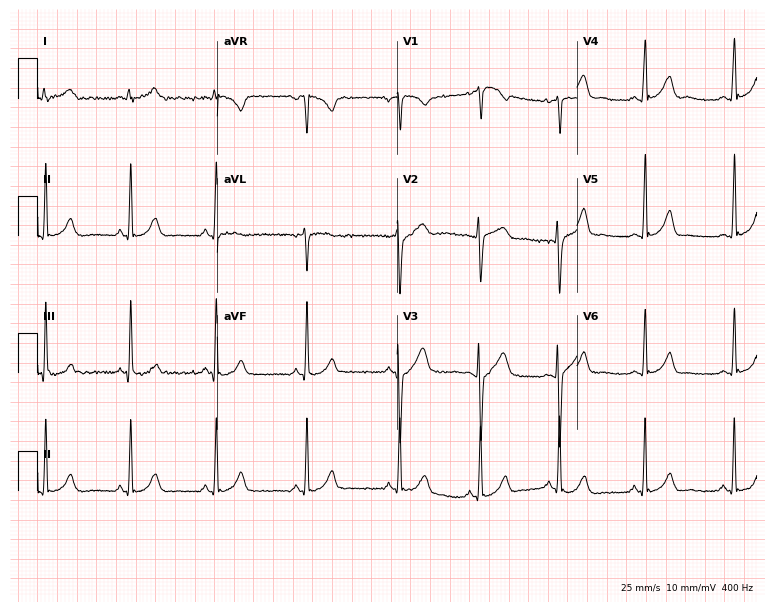
Resting 12-lead electrocardiogram (7.3-second recording at 400 Hz). Patient: a female, 22 years old. Read as a normal ECG.